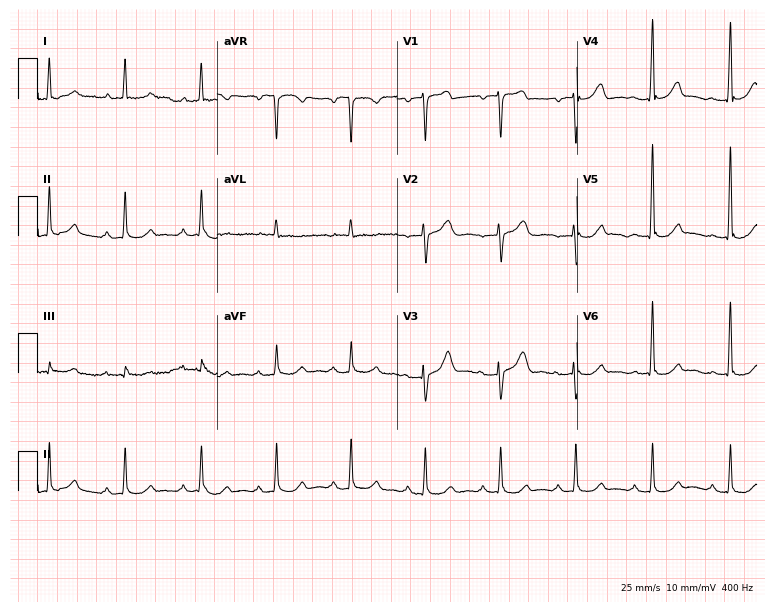
ECG — a man, 60 years old. Labelled as a normal ECG.